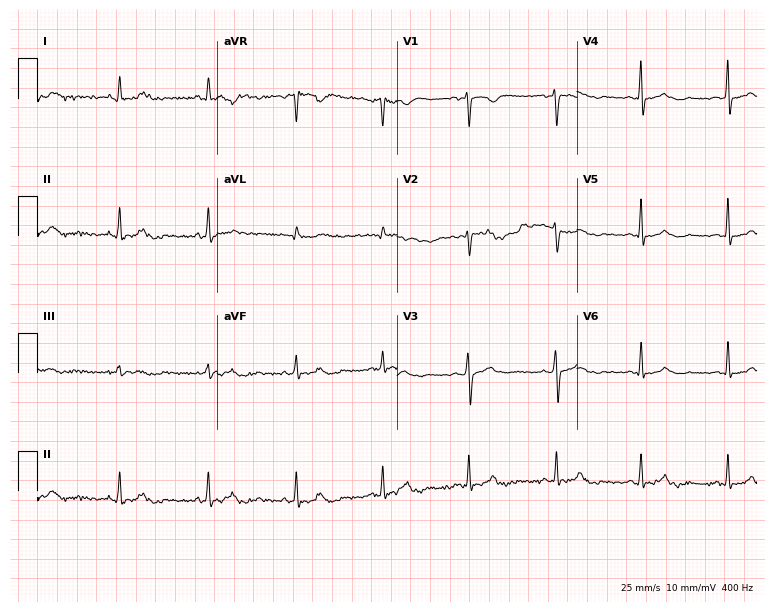
ECG — a female, 37 years old. Screened for six findings — first-degree AV block, right bundle branch block, left bundle branch block, sinus bradycardia, atrial fibrillation, sinus tachycardia — none is recorded. Only these six findings were labelled.